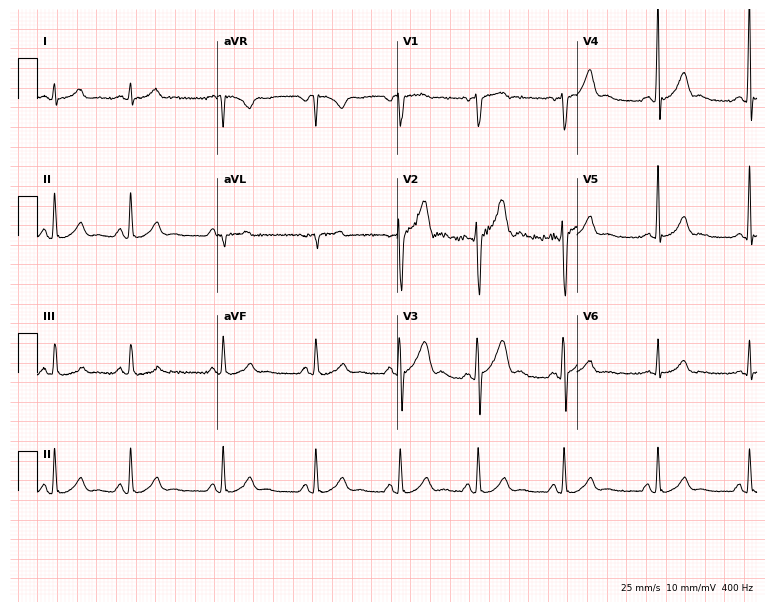
12-lead ECG from a male patient, 19 years old (7.3-second recording at 400 Hz). No first-degree AV block, right bundle branch block, left bundle branch block, sinus bradycardia, atrial fibrillation or sinus tachycardia recorded for this tracing.